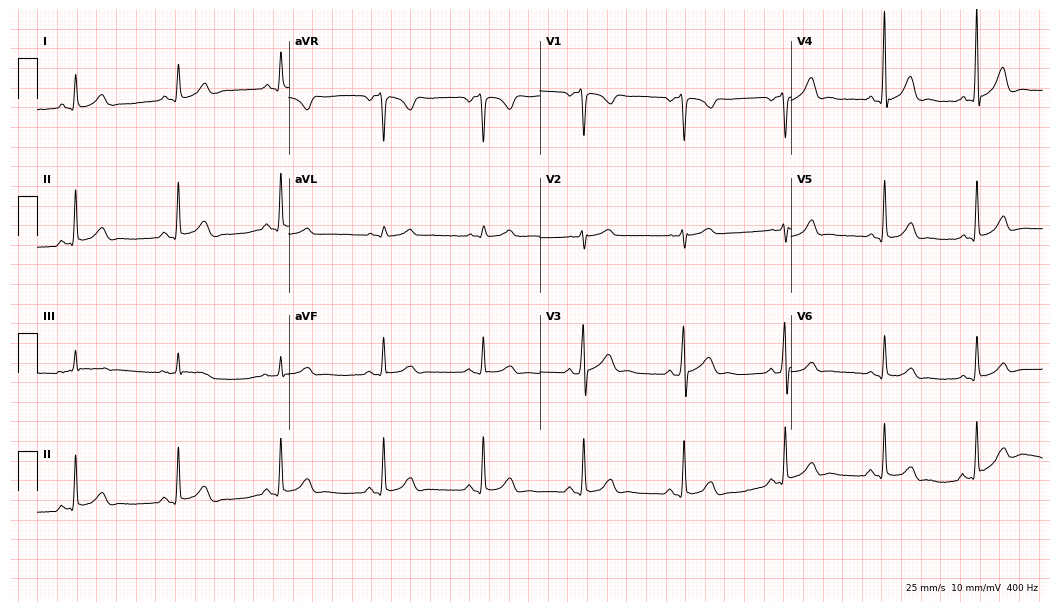
Resting 12-lead electrocardiogram. Patient: a 43-year-old male. None of these six findings is recorded: first-degree AV block, right bundle branch block, left bundle branch block, sinus bradycardia, atrial fibrillation, sinus tachycardia.